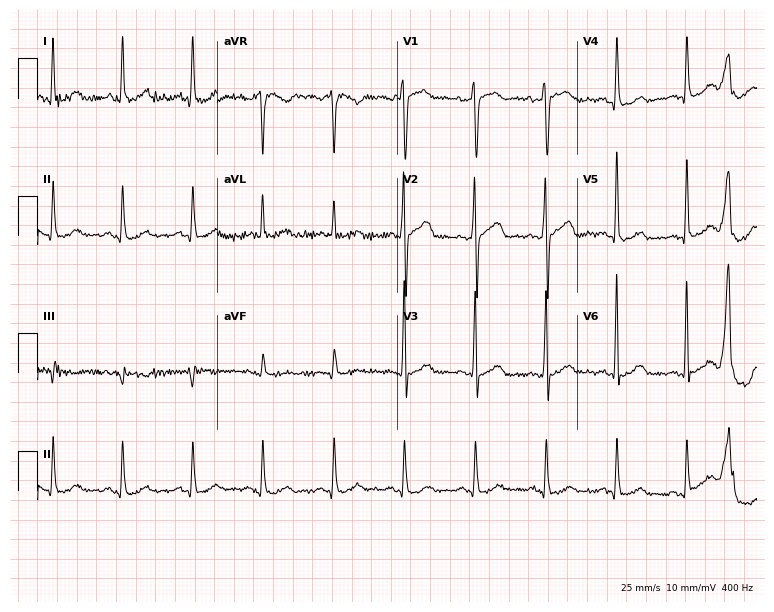
Resting 12-lead electrocardiogram. Patient: a 68-year-old man. None of these six findings is recorded: first-degree AV block, right bundle branch block, left bundle branch block, sinus bradycardia, atrial fibrillation, sinus tachycardia. Findings outside these six are not listed.